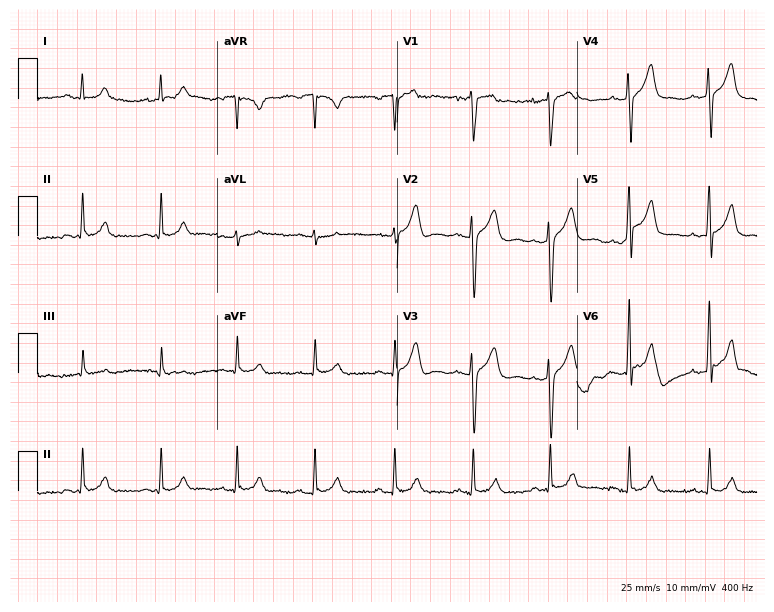
Standard 12-lead ECG recorded from a 38-year-old male (7.3-second recording at 400 Hz). Read as a normal ECG.